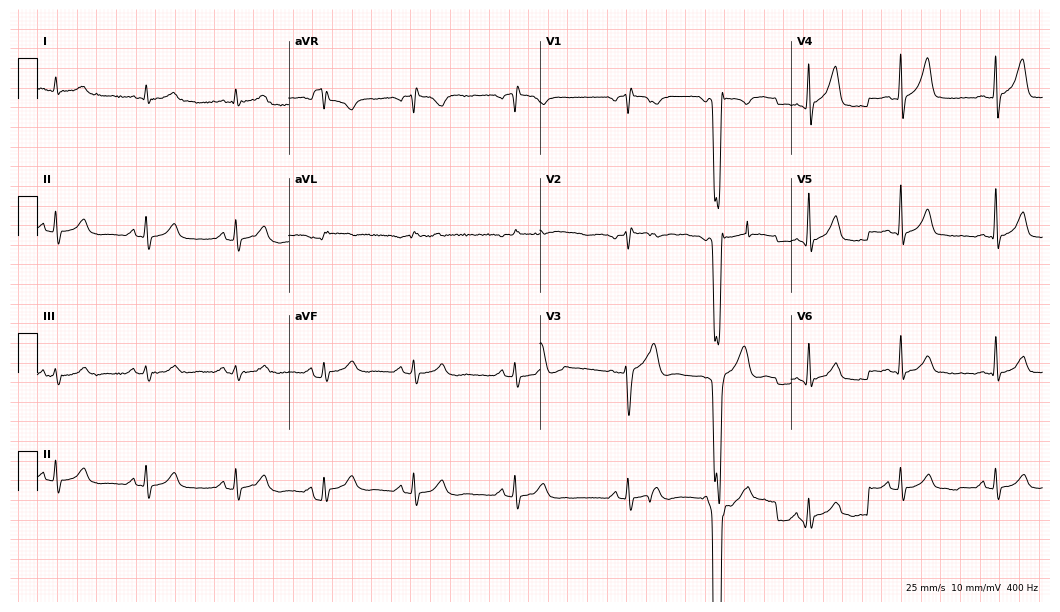
12-lead ECG from a man, 62 years old (10.2-second recording at 400 Hz). No first-degree AV block, right bundle branch block, left bundle branch block, sinus bradycardia, atrial fibrillation or sinus tachycardia recorded for this tracing. Findings outside these six are not listed.